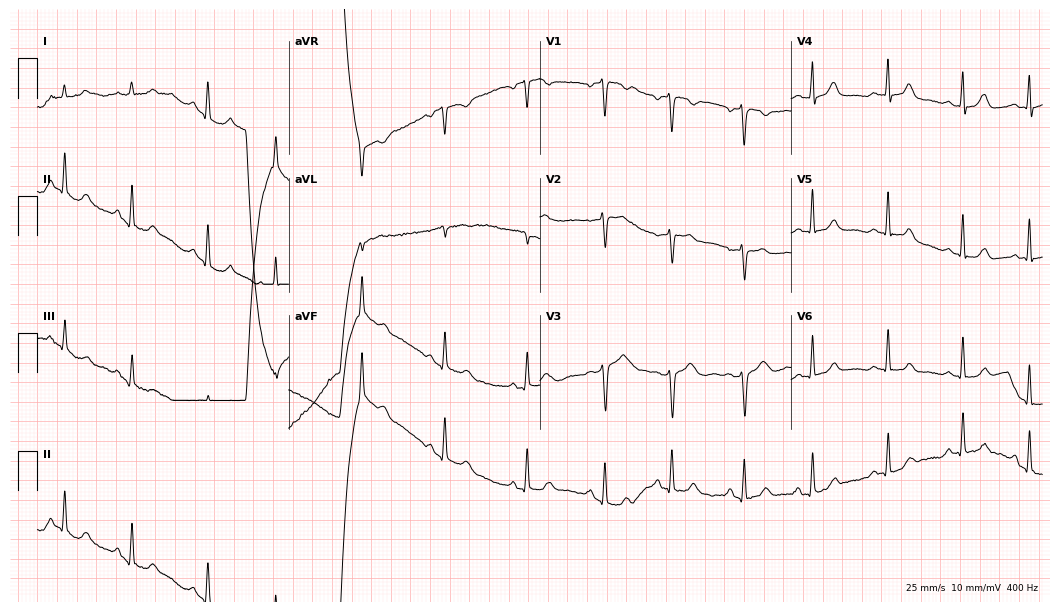
Resting 12-lead electrocardiogram. Patient: a 47-year-old female. None of these six findings is recorded: first-degree AV block, right bundle branch block, left bundle branch block, sinus bradycardia, atrial fibrillation, sinus tachycardia. Other findings, if any, are not listed.